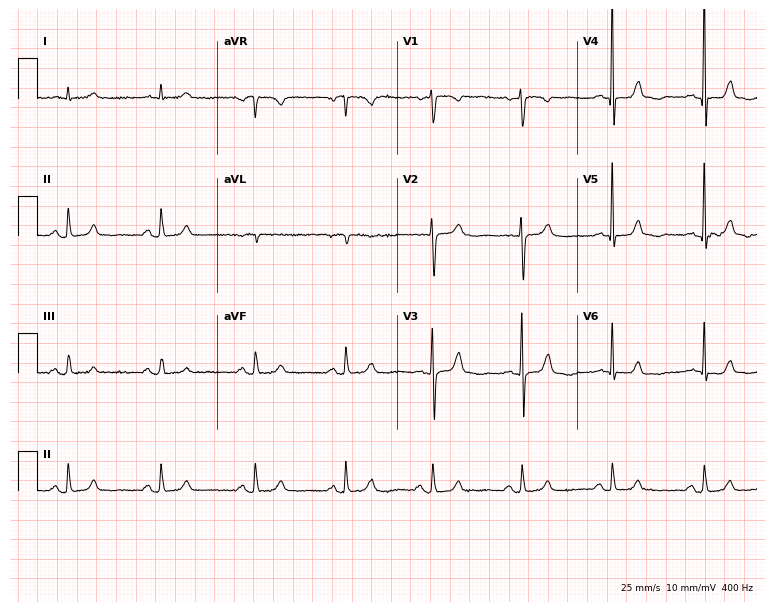
Electrocardiogram, a female, 66 years old. Of the six screened findings (first-degree AV block, right bundle branch block, left bundle branch block, sinus bradycardia, atrial fibrillation, sinus tachycardia), none is recorded.